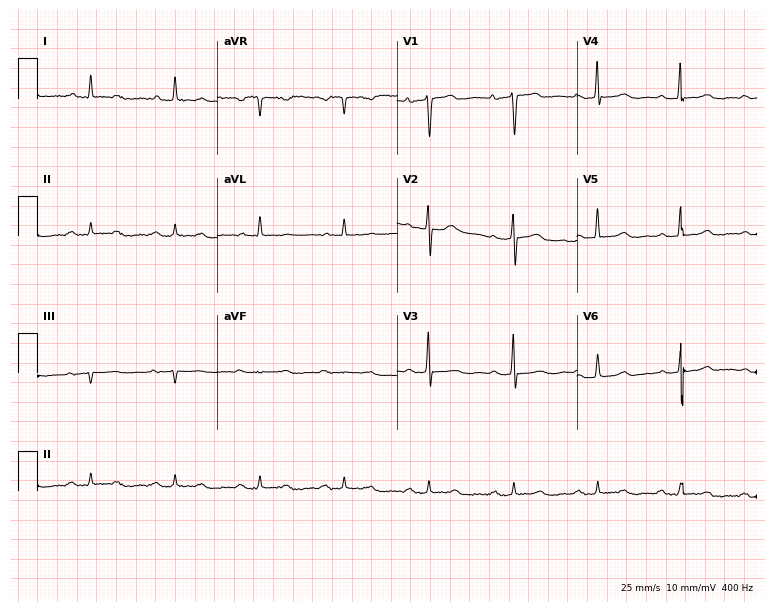
Electrocardiogram, a male, 63 years old. Of the six screened findings (first-degree AV block, right bundle branch block, left bundle branch block, sinus bradycardia, atrial fibrillation, sinus tachycardia), none is recorded.